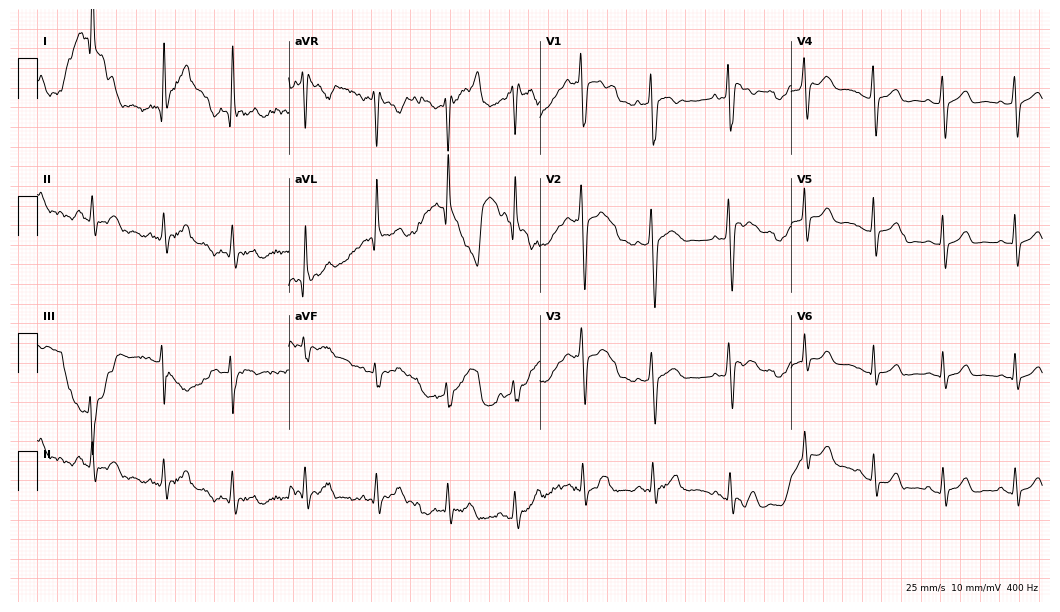
Standard 12-lead ECG recorded from a 19-year-old man. None of these six findings is recorded: first-degree AV block, right bundle branch block, left bundle branch block, sinus bradycardia, atrial fibrillation, sinus tachycardia.